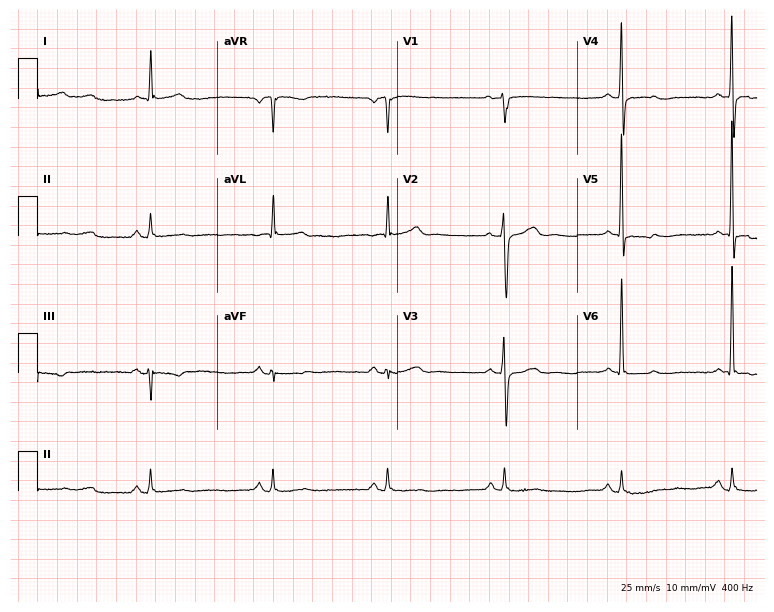
ECG (7.3-second recording at 400 Hz) — a 70-year-old male patient. Screened for six findings — first-degree AV block, right bundle branch block (RBBB), left bundle branch block (LBBB), sinus bradycardia, atrial fibrillation (AF), sinus tachycardia — none is recorded.